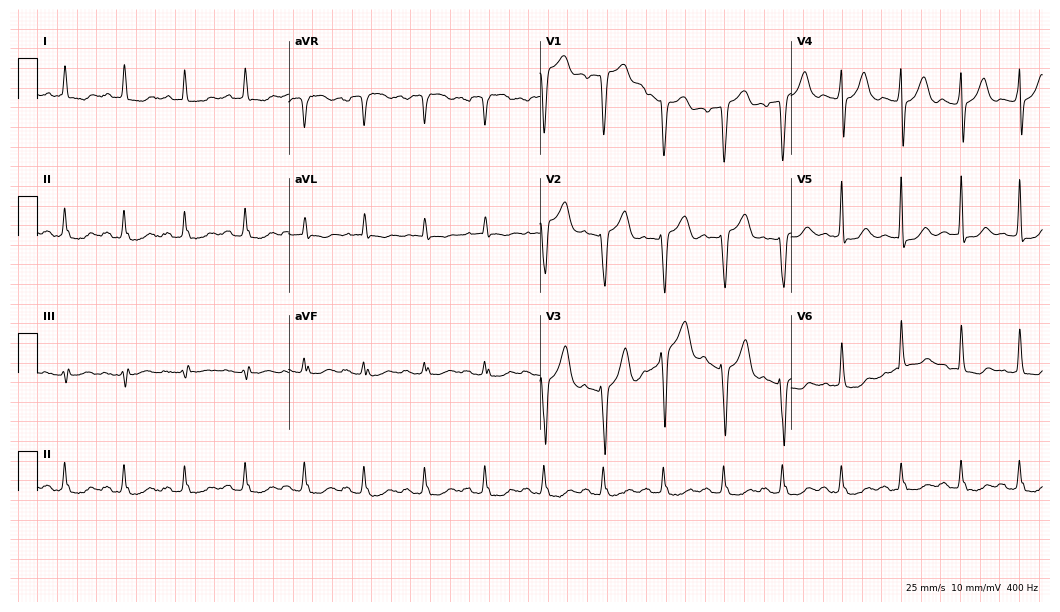
Resting 12-lead electrocardiogram. Patient: a 64-year-old man. None of these six findings is recorded: first-degree AV block, right bundle branch block, left bundle branch block, sinus bradycardia, atrial fibrillation, sinus tachycardia. Other findings, if any, are not listed.